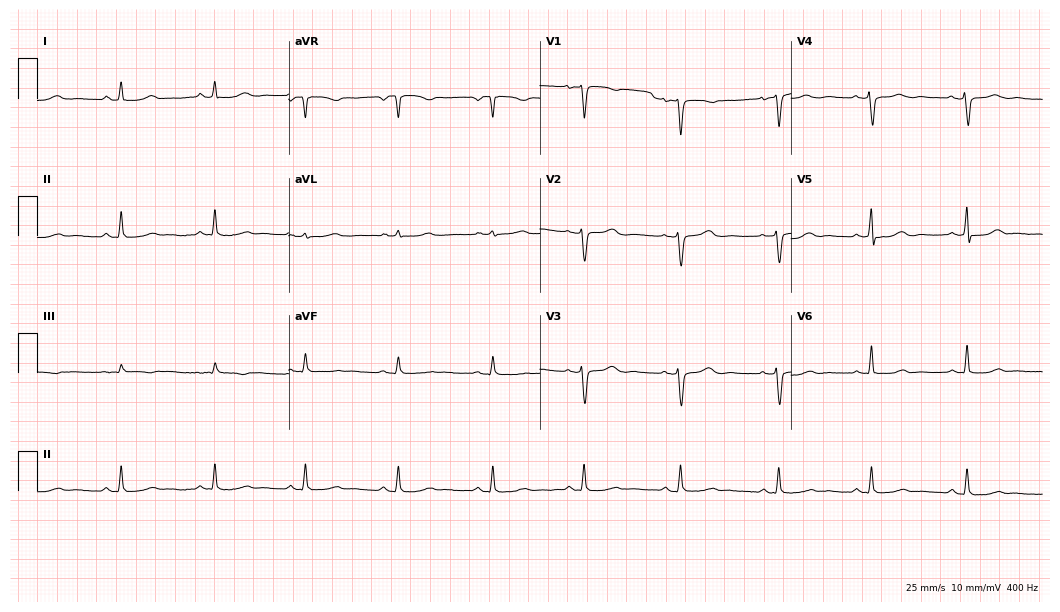
Electrocardiogram, a female, 50 years old. Overall reading on record: normal ECG.